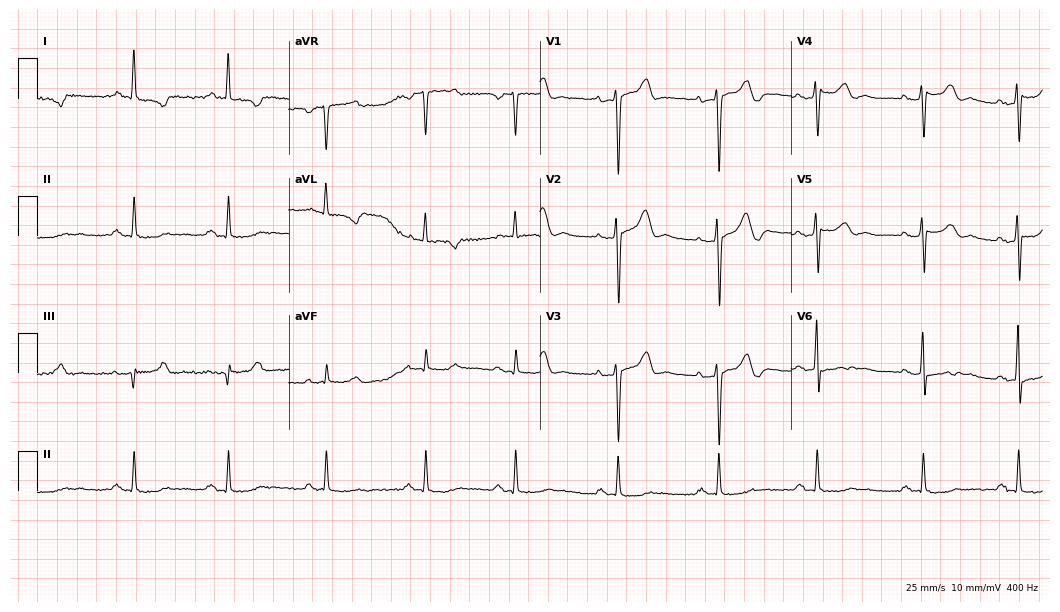
12-lead ECG from a man, 38 years old (10.2-second recording at 400 Hz). No first-degree AV block, right bundle branch block (RBBB), left bundle branch block (LBBB), sinus bradycardia, atrial fibrillation (AF) or sinus tachycardia recorded for this tracing.